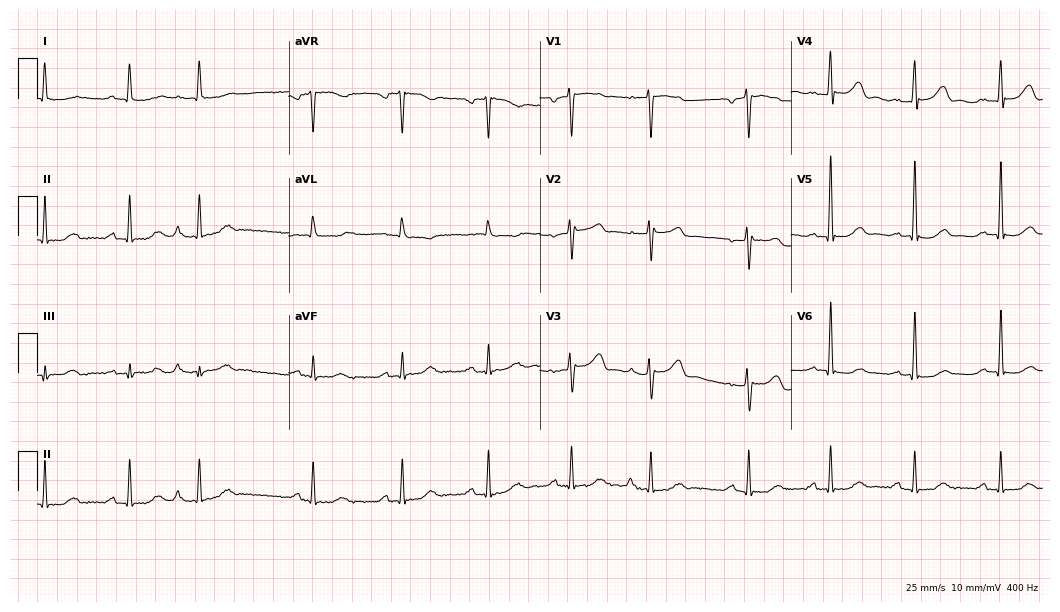
Standard 12-lead ECG recorded from a 63-year-old female patient (10.2-second recording at 400 Hz). None of these six findings is recorded: first-degree AV block, right bundle branch block, left bundle branch block, sinus bradycardia, atrial fibrillation, sinus tachycardia. Only these six findings were labelled.